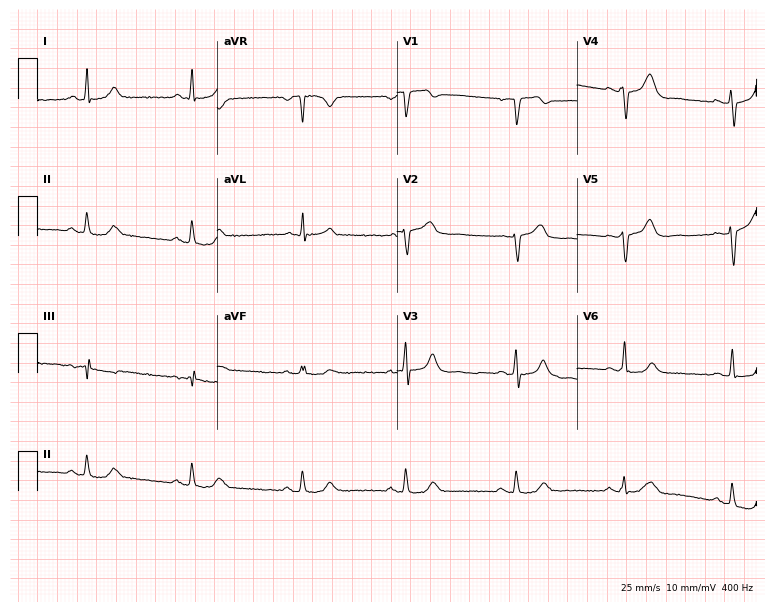
Electrocardiogram (7.3-second recording at 400 Hz), a female patient, 41 years old. Of the six screened findings (first-degree AV block, right bundle branch block (RBBB), left bundle branch block (LBBB), sinus bradycardia, atrial fibrillation (AF), sinus tachycardia), none is recorded.